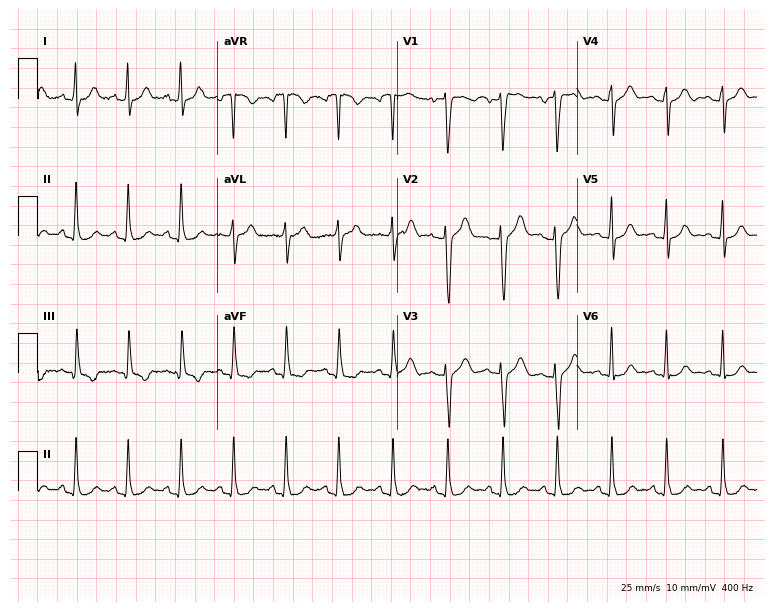
Electrocardiogram, a 32-year-old woman. Interpretation includes sinus tachycardia (a sinus rate of 100 beats per minute or more).